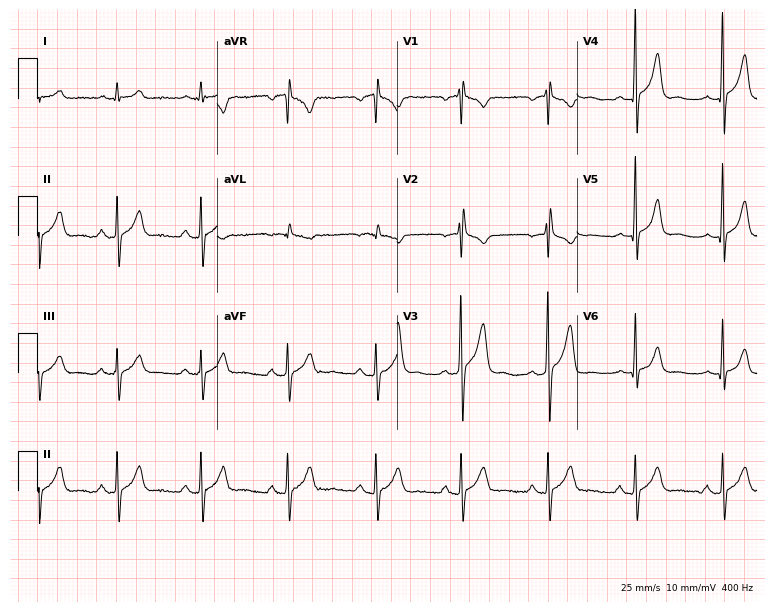
12-lead ECG (7.3-second recording at 400 Hz) from a male patient, 32 years old. Screened for six findings — first-degree AV block, right bundle branch block (RBBB), left bundle branch block (LBBB), sinus bradycardia, atrial fibrillation (AF), sinus tachycardia — none is recorded. Only these six findings were labelled.